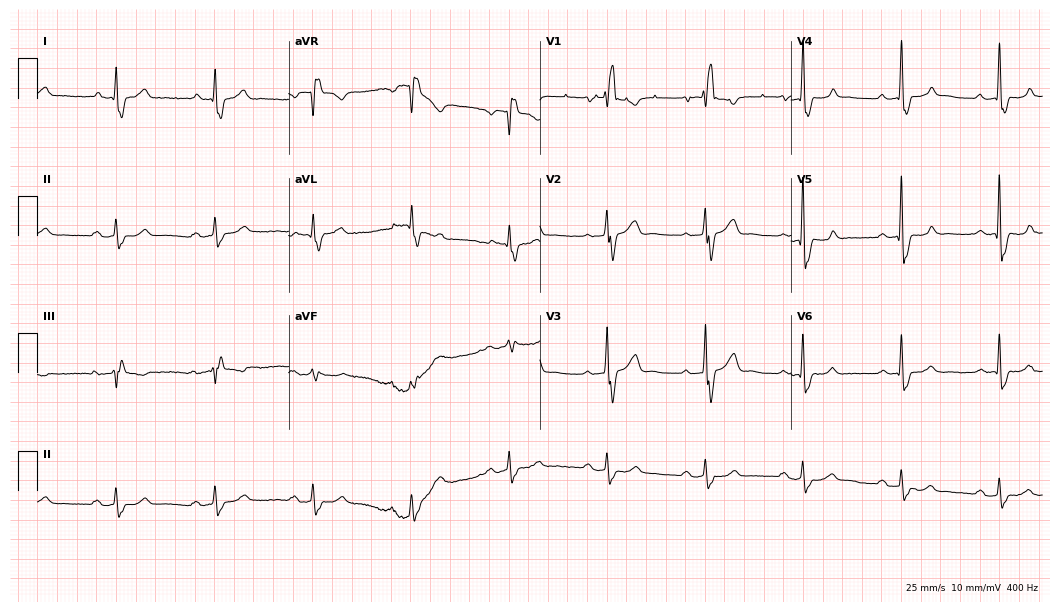
Resting 12-lead electrocardiogram (10.2-second recording at 400 Hz). Patient: a 77-year-old male. The tracing shows first-degree AV block, right bundle branch block.